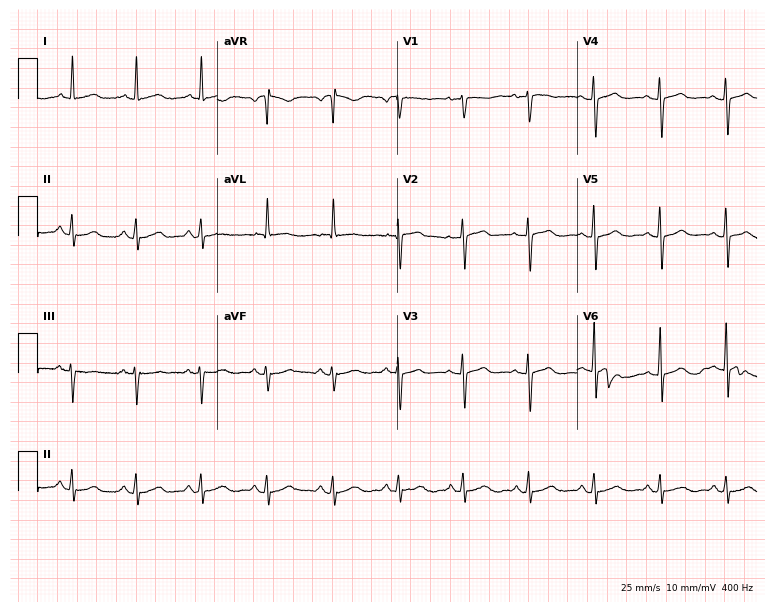
12-lead ECG (7.3-second recording at 400 Hz) from a female patient, 73 years old. Screened for six findings — first-degree AV block, right bundle branch block (RBBB), left bundle branch block (LBBB), sinus bradycardia, atrial fibrillation (AF), sinus tachycardia — none is recorded. Other findings, if any, are not listed.